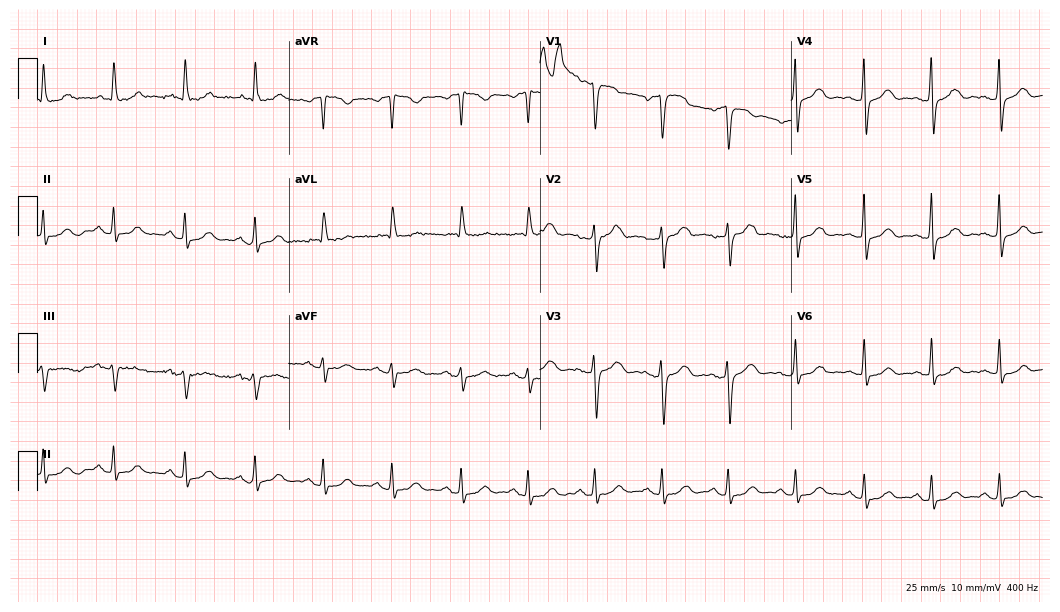
12-lead ECG from a 44-year-old female patient. Screened for six findings — first-degree AV block, right bundle branch block (RBBB), left bundle branch block (LBBB), sinus bradycardia, atrial fibrillation (AF), sinus tachycardia — none is recorded.